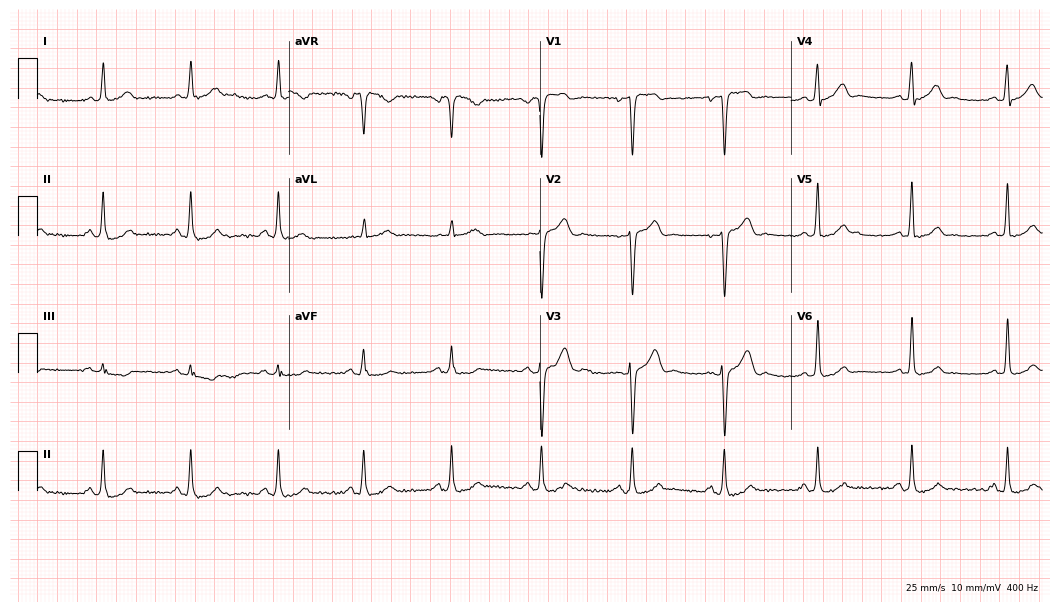
12-lead ECG from a 48-year-old male patient. Recorded interpretation: within normal limits.